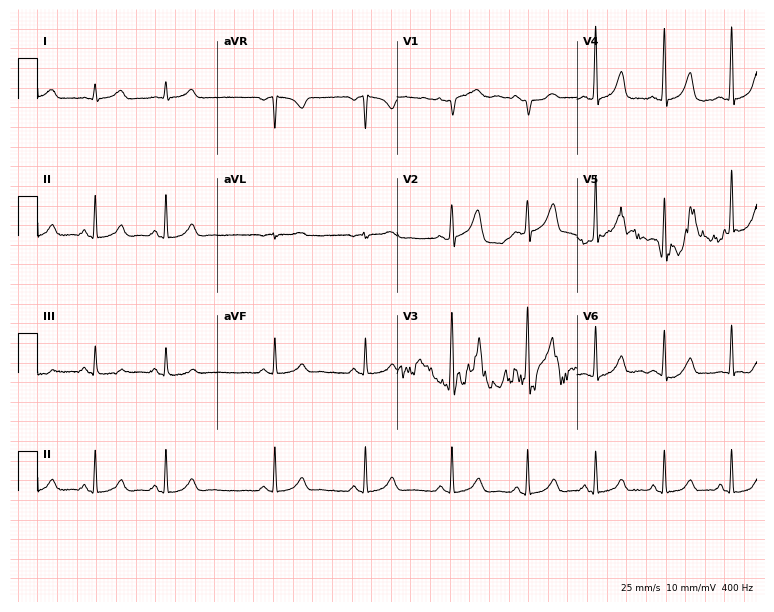
12-lead ECG from a male patient, 35 years old (7.3-second recording at 400 Hz). Recorded interpretation: within normal limits.